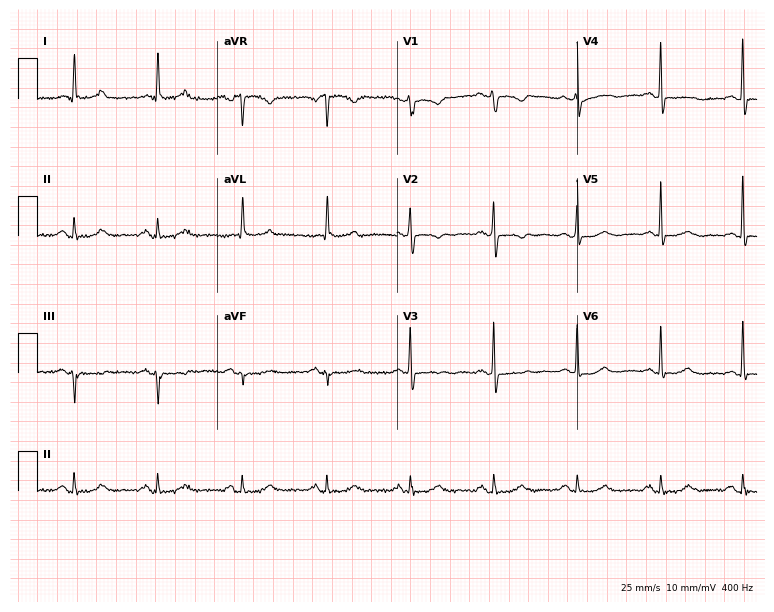
12-lead ECG from an 81-year-old woman (7.3-second recording at 400 Hz). No first-degree AV block, right bundle branch block (RBBB), left bundle branch block (LBBB), sinus bradycardia, atrial fibrillation (AF) or sinus tachycardia recorded for this tracing. Other findings, if any, are not listed.